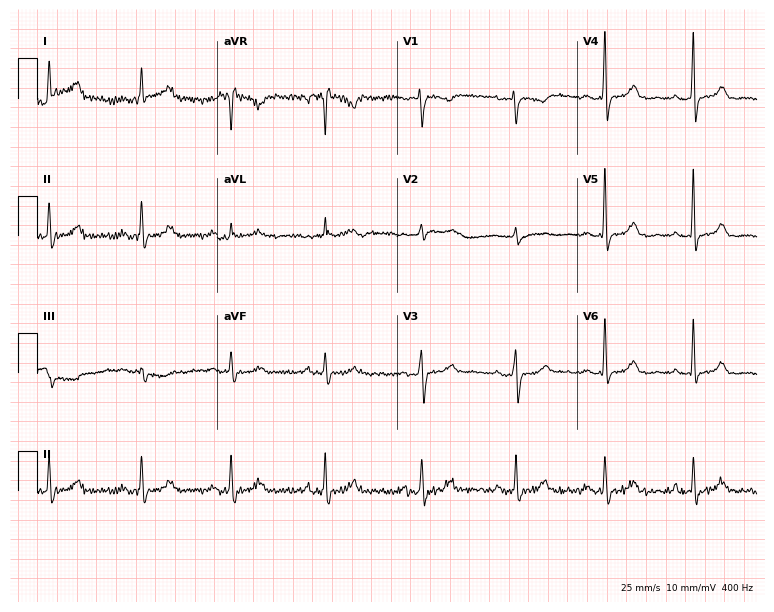
12-lead ECG from a 55-year-old female. Recorded interpretation: within normal limits.